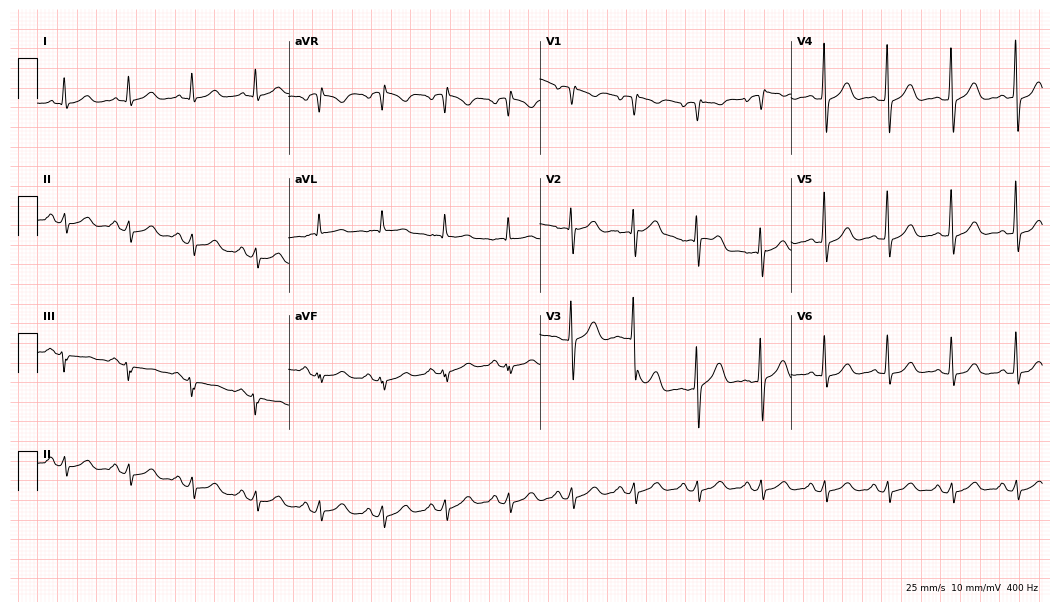
Resting 12-lead electrocardiogram. Patient: a 72-year-old female. None of these six findings is recorded: first-degree AV block, right bundle branch block (RBBB), left bundle branch block (LBBB), sinus bradycardia, atrial fibrillation (AF), sinus tachycardia. Only these six findings were labelled.